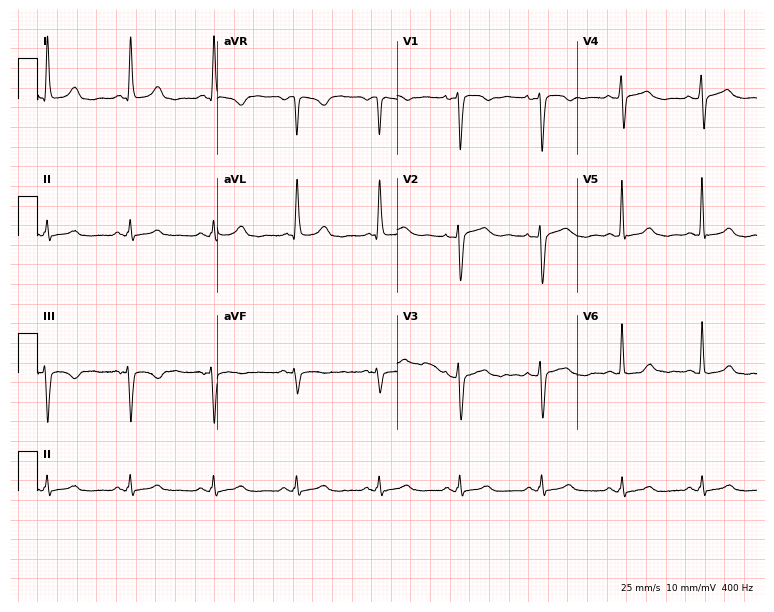
Electrocardiogram, a female patient, 62 years old. Of the six screened findings (first-degree AV block, right bundle branch block, left bundle branch block, sinus bradycardia, atrial fibrillation, sinus tachycardia), none is recorded.